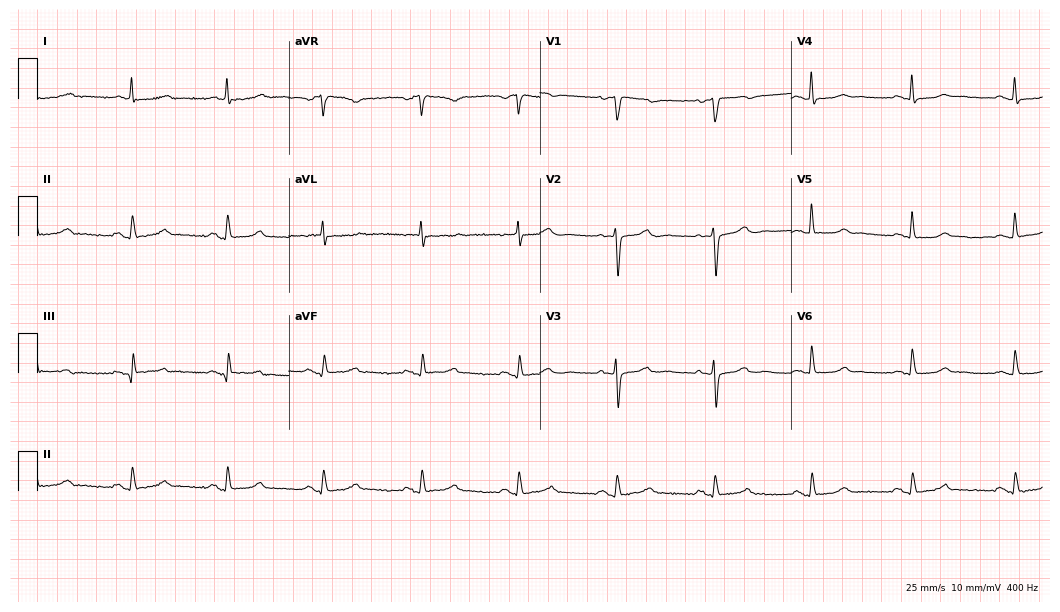
Standard 12-lead ECG recorded from a 70-year-old female (10.2-second recording at 400 Hz). Read as a normal ECG.